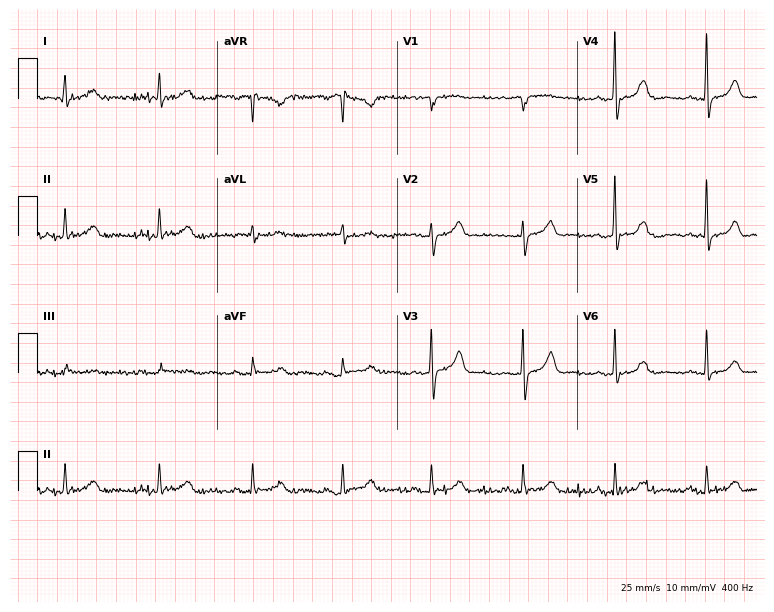
Standard 12-lead ECG recorded from an 83-year-old female patient. Read as a normal ECG.